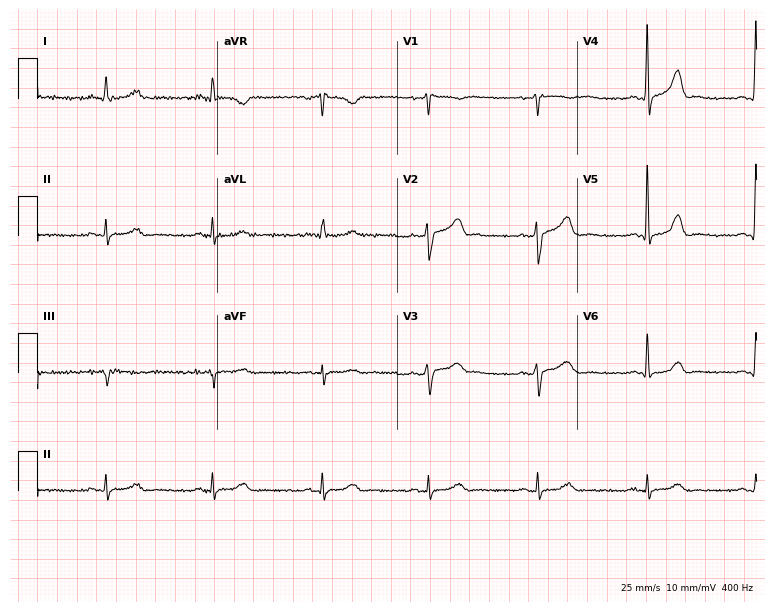
Electrocardiogram (7.3-second recording at 400 Hz), a 72-year-old male. Of the six screened findings (first-degree AV block, right bundle branch block, left bundle branch block, sinus bradycardia, atrial fibrillation, sinus tachycardia), none is recorded. Other findings, if any, are not listed.